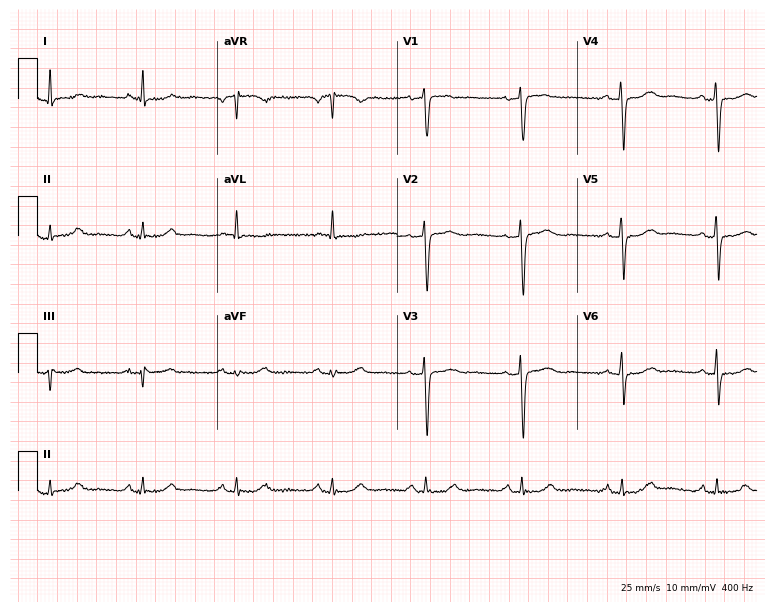
Standard 12-lead ECG recorded from a 57-year-old female patient. None of these six findings is recorded: first-degree AV block, right bundle branch block, left bundle branch block, sinus bradycardia, atrial fibrillation, sinus tachycardia.